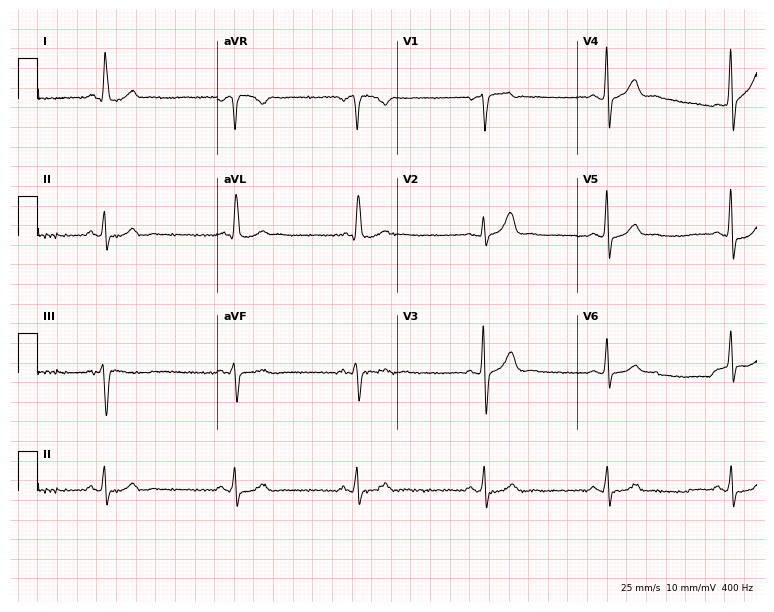
ECG — a man, 45 years old. Findings include sinus bradycardia (a sinus rate of 50 beats per minute or less).